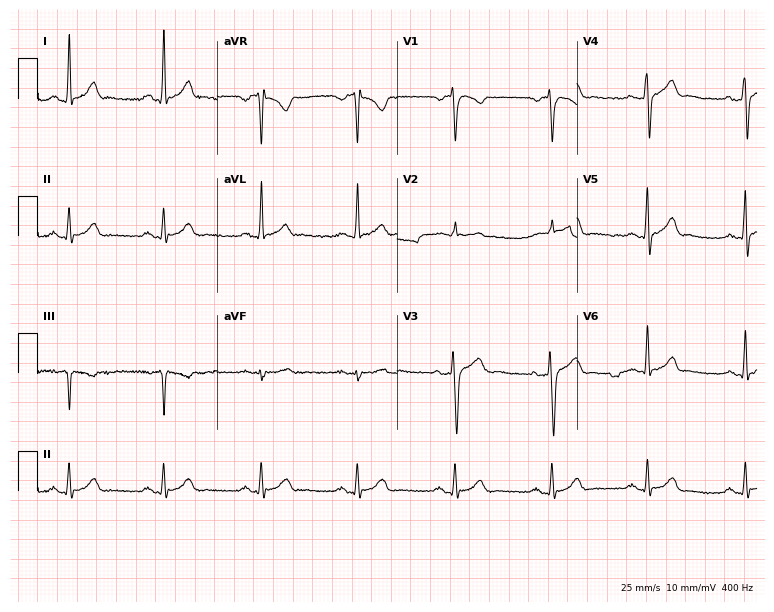
Resting 12-lead electrocardiogram (7.3-second recording at 400 Hz). Patient: a 37-year-old male. Read as a normal ECG.